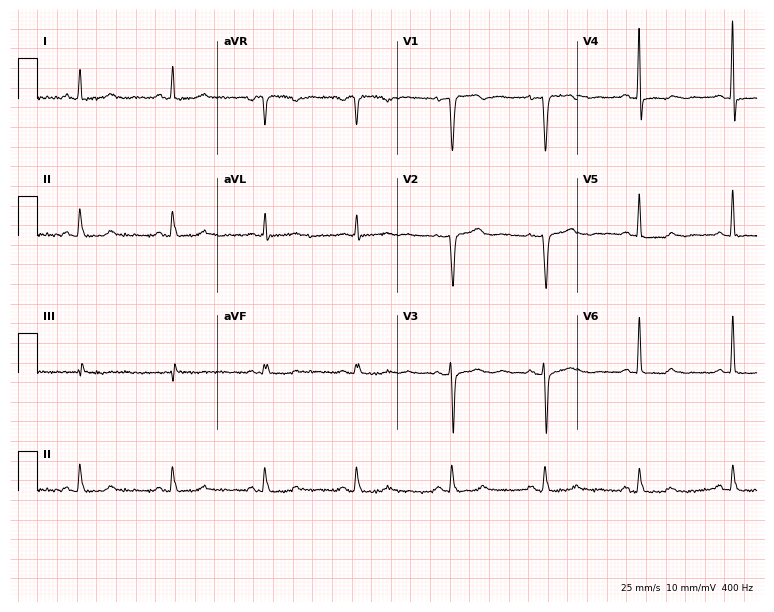
Resting 12-lead electrocardiogram (7.3-second recording at 400 Hz). Patient: a 50-year-old female. None of these six findings is recorded: first-degree AV block, right bundle branch block, left bundle branch block, sinus bradycardia, atrial fibrillation, sinus tachycardia.